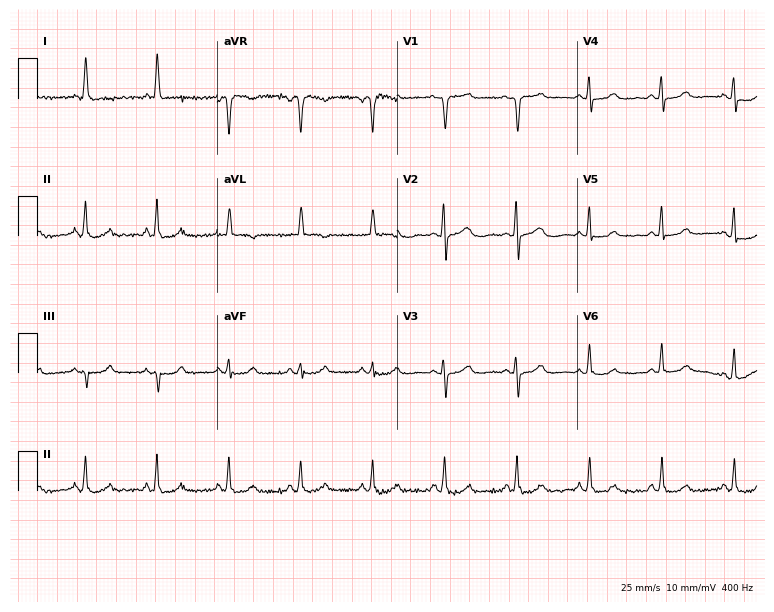
12-lead ECG (7.3-second recording at 400 Hz) from a 71-year-old female patient. Labelled as a normal ECG.